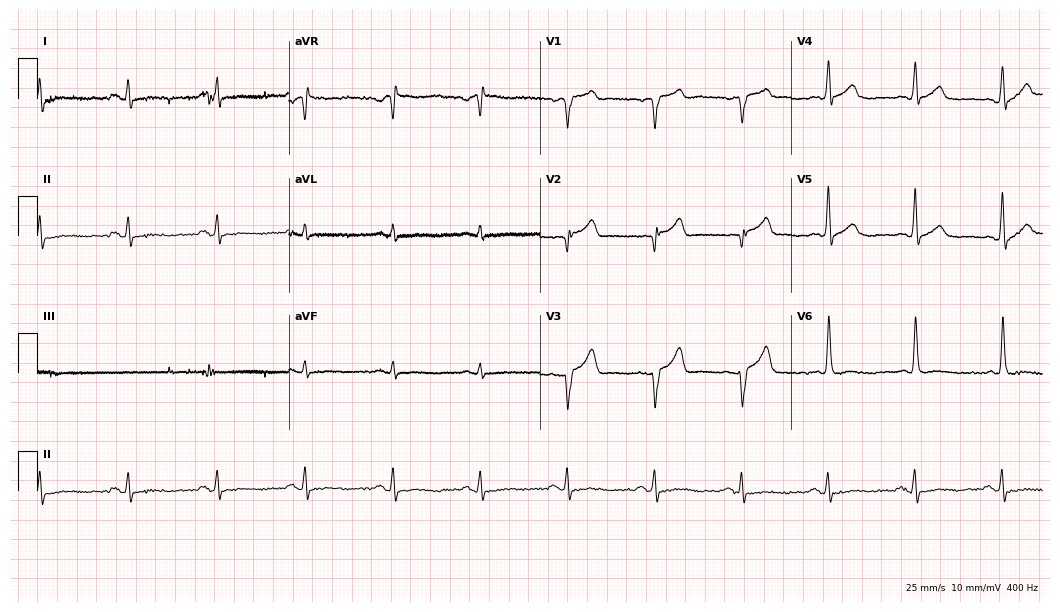
Electrocardiogram, a man, 79 years old. Of the six screened findings (first-degree AV block, right bundle branch block, left bundle branch block, sinus bradycardia, atrial fibrillation, sinus tachycardia), none is recorded.